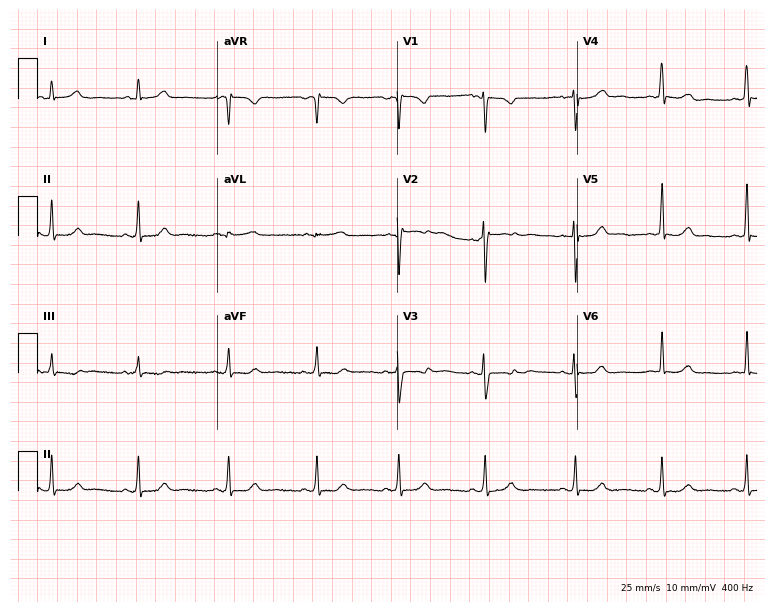
Electrocardiogram, a woman, 27 years old. Of the six screened findings (first-degree AV block, right bundle branch block, left bundle branch block, sinus bradycardia, atrial fibrillation, sinus tachycardia), none is recorded.